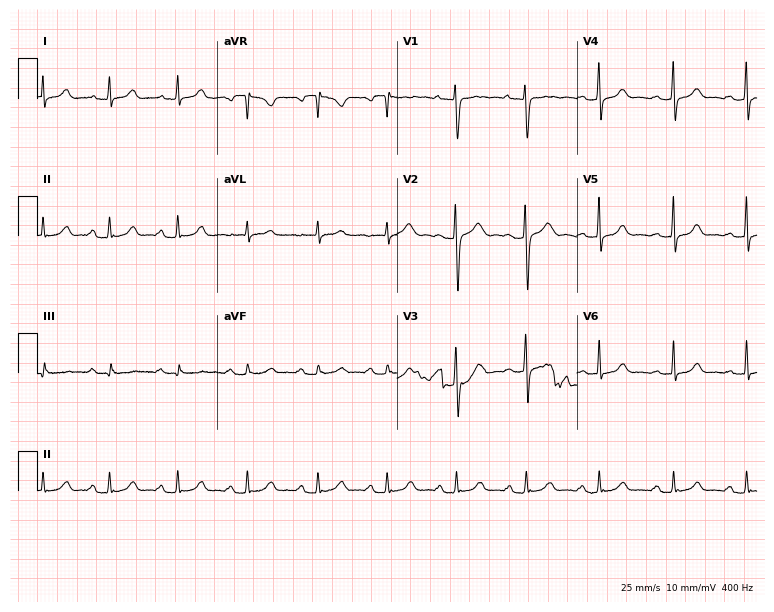
12-lead ECG (7.3-second recording at 400 Hz) from a 23-year-old female patient. Labelled as a normal ECG.